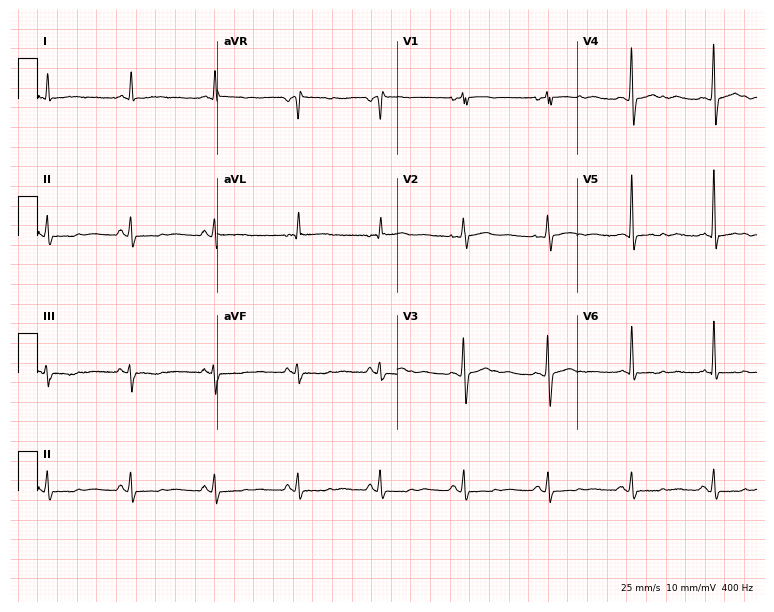
Resting 12-lead electrocardiogram. Patient: a 71-year-old woman. None of these six findings is recorded: first-degree AV block, right bundle branch block, left bundle branch block, sinus bradycardia, atrial fibrillation, sinus tachycardia.